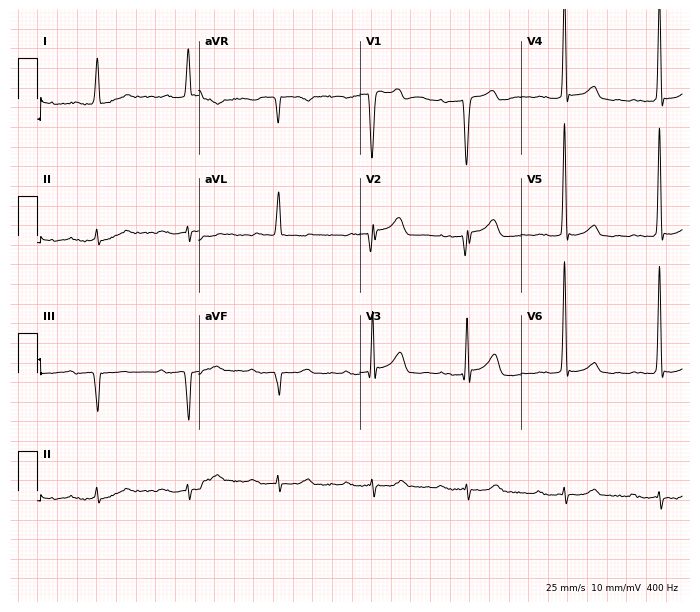
ECG — a female patient, 85 years old. Findings include first-degree AV block.